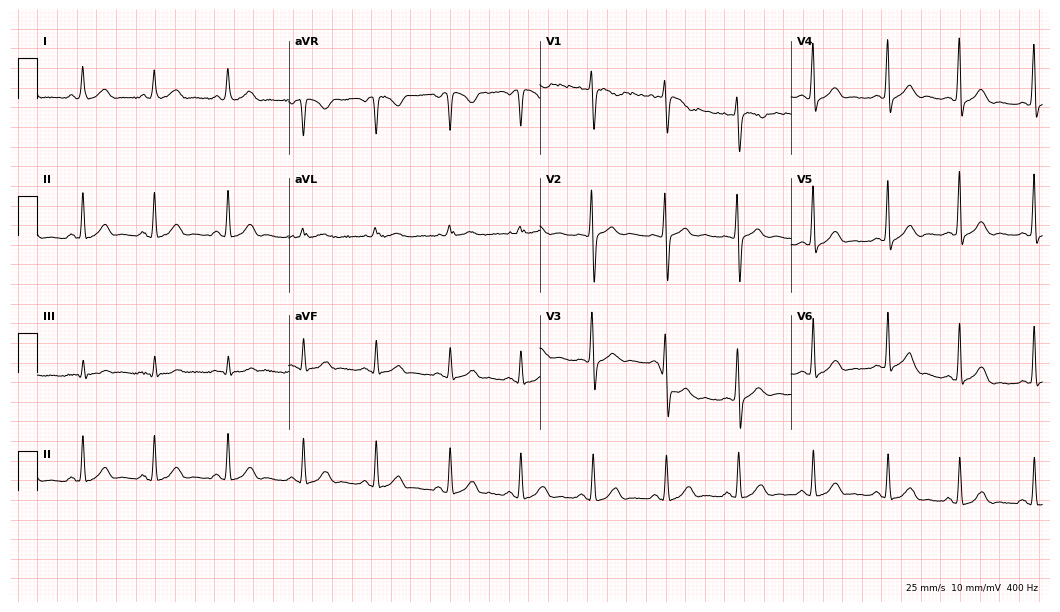
12-lead ECG (10.2-second recording at 400 Hz) from a 25-year-old female patient. Labelled as a normal ECG.